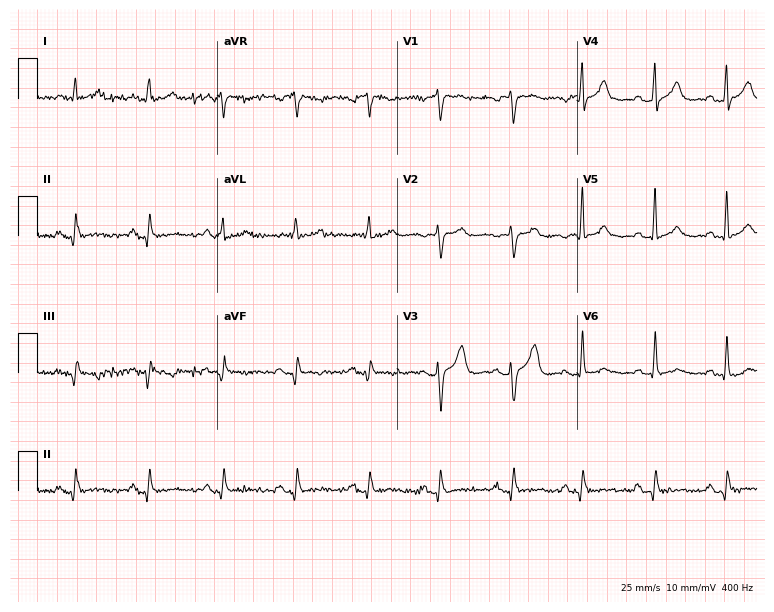
Resting 12-lead electrocardiogram. Patient: a female, 67 years old. None of these six findings is recorded: first-degree AV block, right bundle branch block, left bundle branch block, sinus bradycardia, atrial fibrillation, sinus tachycardia.